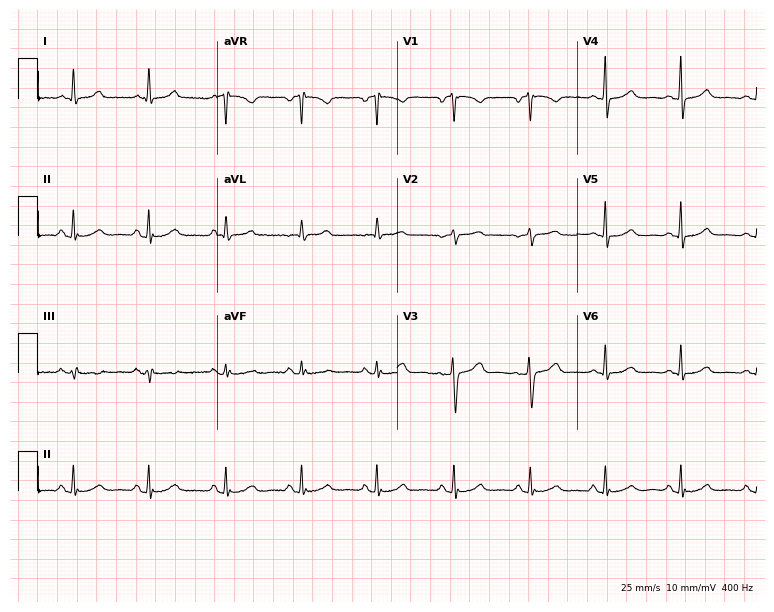
Electrocardiogram (7.3-second recording at 400 Hz), a female patient, 61 years old. Of the six screened findings (first-degree AV block, right bundle branch block (RBBB), left bundle branch block (LBBB), sinus bradycardia, atrial fibrillation (AF), sinus tachycardia), none is recorded. Other findings, if any, are not listed.